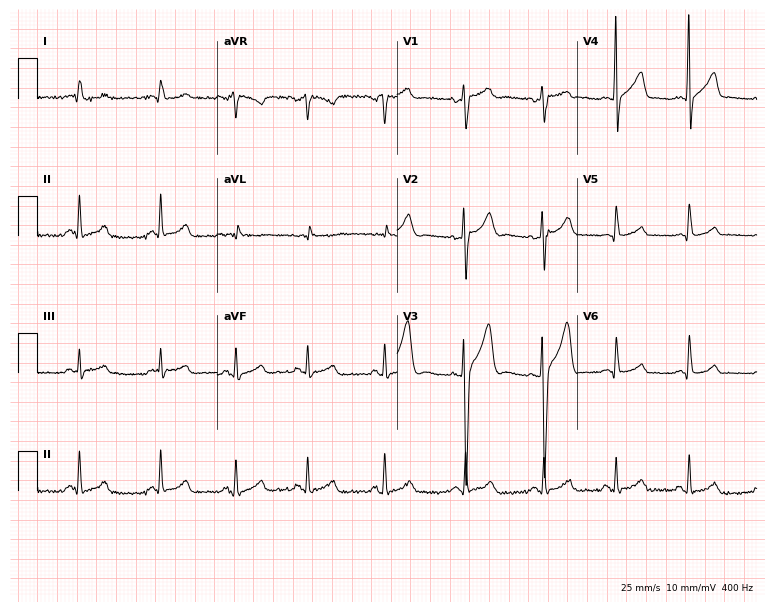
12-lead ECG from a 24-year-old male patient. Screened for six findings — first-degree AV block, right bundle branch block (RBBB), left bundle branch block (LBBB), sinus bradycardia, atrial fibrillation (AF), sinus tachycardia — none is recorded.